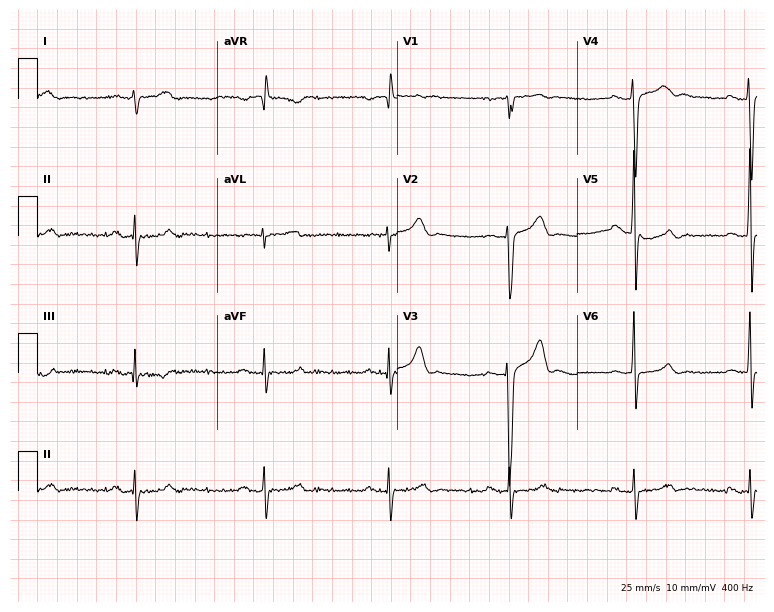
Standard 12-lead ECG recorded from a 31-year-old male patient (7.3-second recording at 400 Hz). The tracing shows sinus bradycardia (a sinus rate of 50 beats per minute or less).